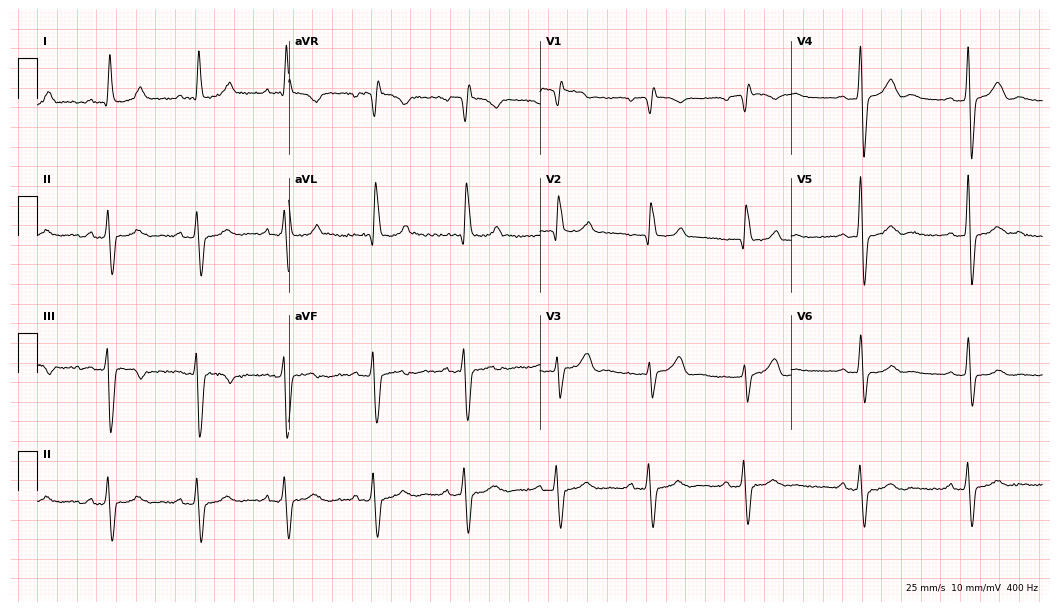
Resting 12-lead electrocardiogram (10.2-second recording at 400 Hz). Patient: an 80-year-old female. The tracing shows right bundle branch block.